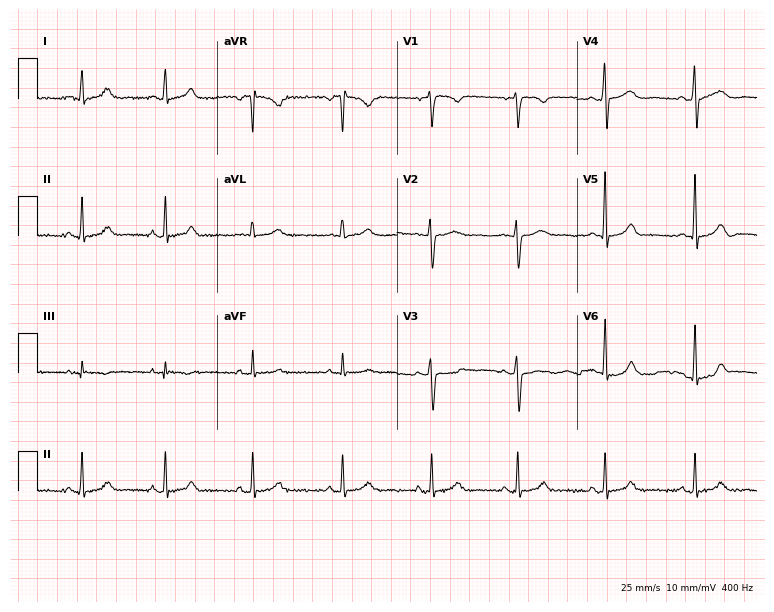
Resting 12-lead electrocardiogram. Patient: a 43-year-old female. Read as a normal ECG.